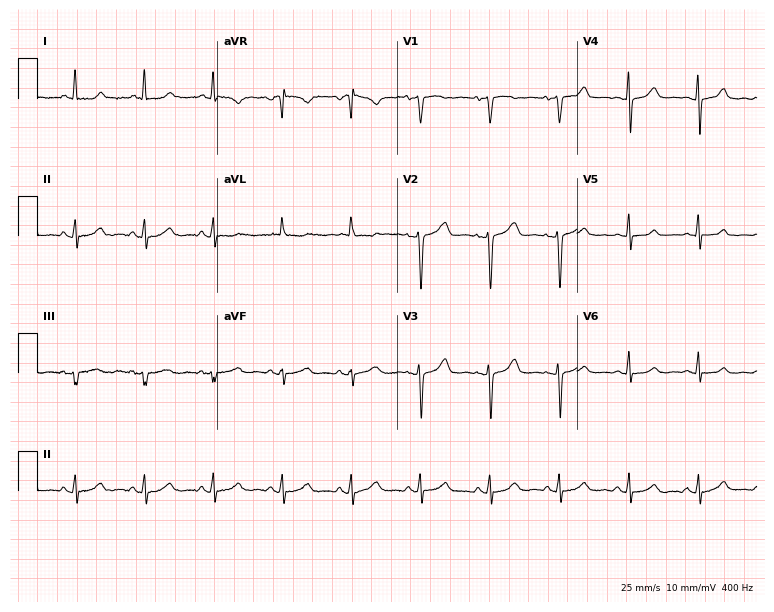
12-lead ECG from a 46-year-old female (7.3-second recording at 400 Hz). Recorded interpretation: within normal limits.